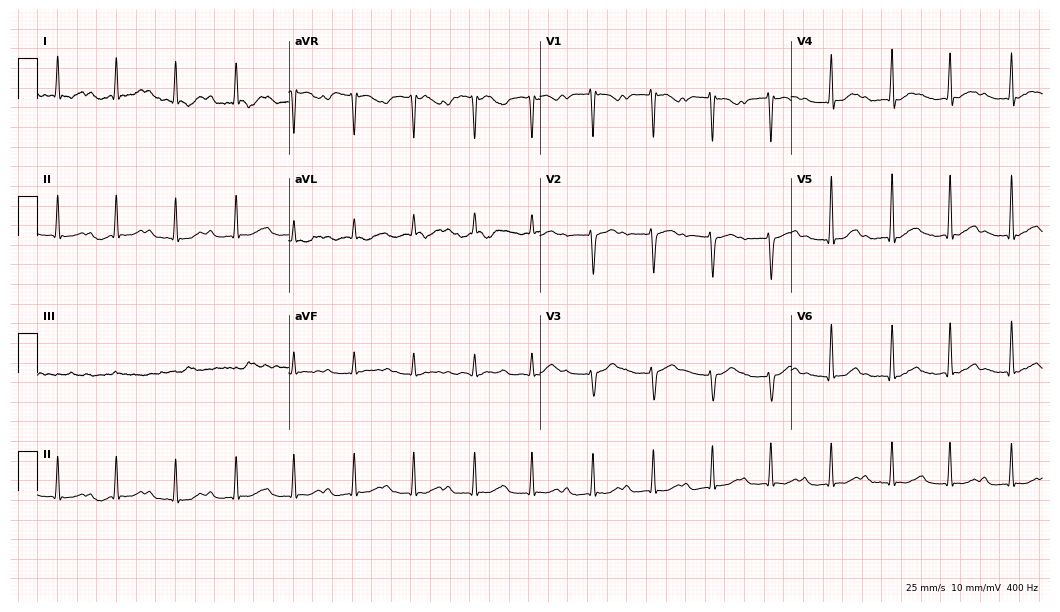
12-lead ECG from a 34-year-old female (10.2-second recording at 400 Hz). No first-degree AV block, right bundle branch block, left bundle branch block, sinus bradycardia, atrial fibrillation or sinus tachycardia recorded for this tracing. Only these six findings were labelled.